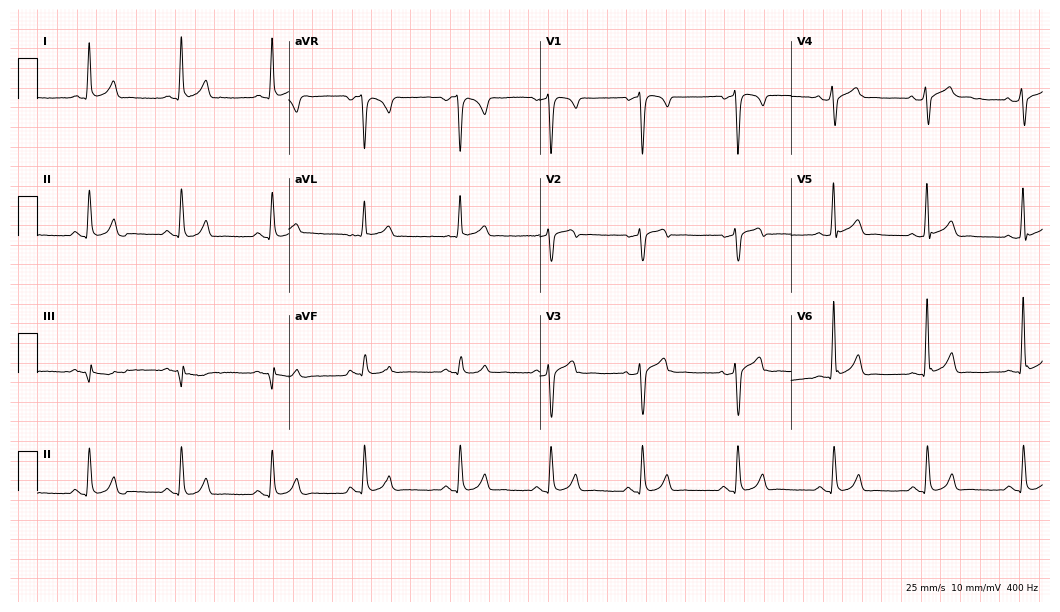
Standard 12-lead ECG recorded from a 57-year-old male patient (10.2-second recording at 400 Hz). None of these six findings is recorded: first-degree AV block, right bundle branch block, left bundle branch block, sinus bradycardia, atrial fibrillation, sinus tachycardia. Only these six findings were labelled.